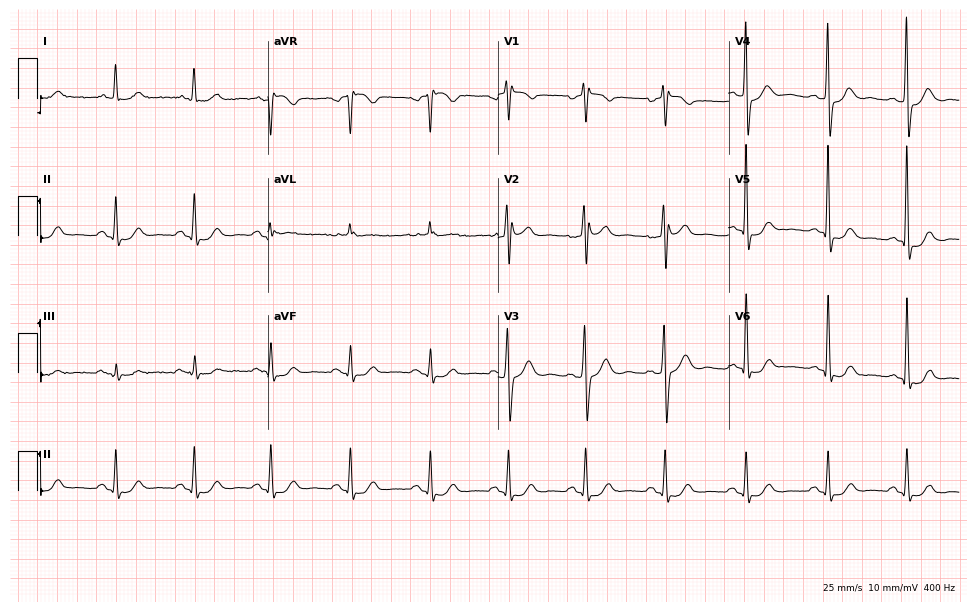
Resting 12-lead electrocardiogram (9.4-second recording at 400 Hz). Patient: a 65-year-old male. None of these six findings is recorded: first-degree AV block, right bundle branch block, left bundle branch block, sinus bradycardia, atrial fibrillation, sinus tachycardia. Only these six findings were labelled.